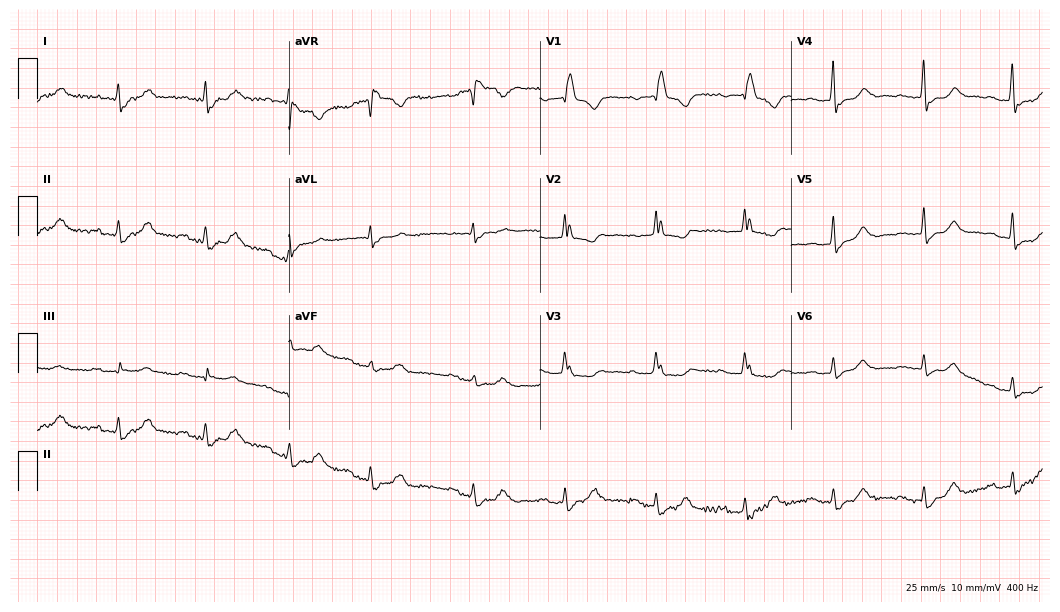
Standard 12-lead ECG recorded from a woman, 81 years old. None of these six findings is recorded: first-degree AV block, right bundle branch block, left bundle branch block, sinus bradycardia, atrial fibrillation, sinus tachycardia. Only these six findings were labelled.